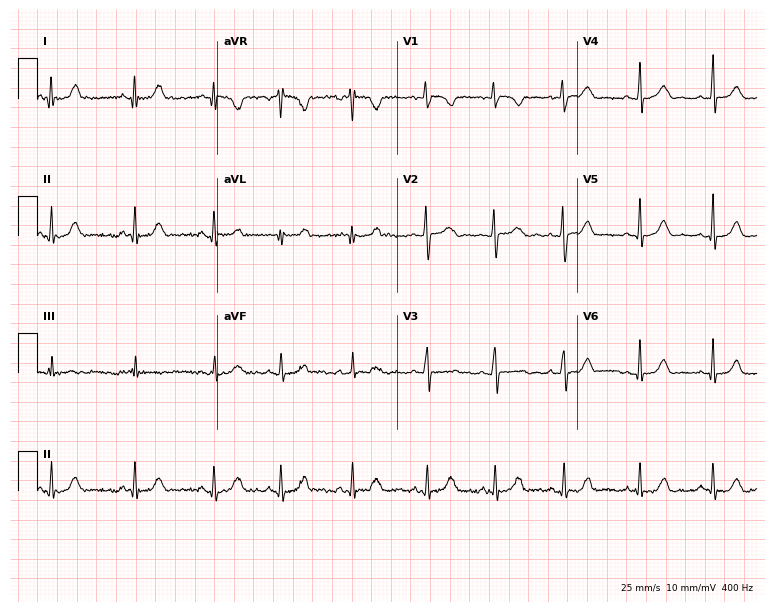
12-lead ECG (7.3-second recording at 400 Hz) from a woman, 20 years old. Labelled as a normal ECG.